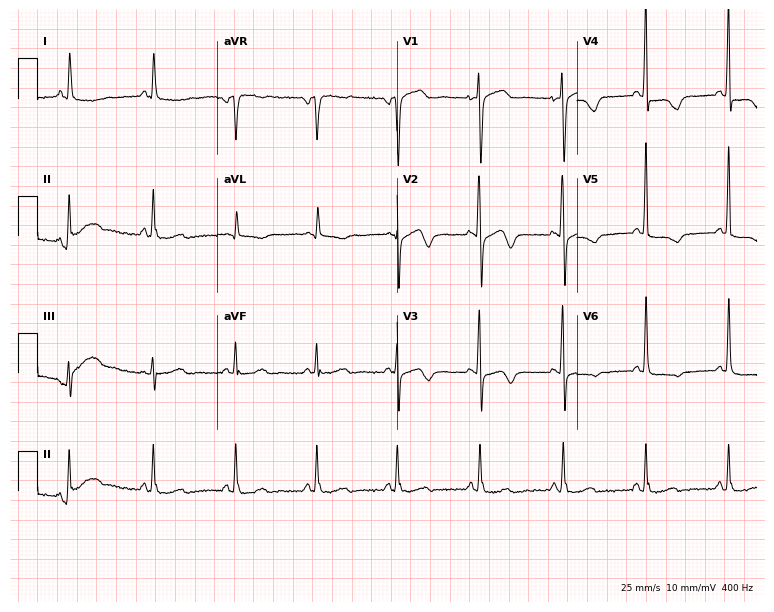
ECG — a 71-year-old woman. Screened for six findings — first-degree AV block, right bundle branch block, left bundle branch block, sinus bradycardia, atrial fibrillation, sinus tachycardia — none is recorded.